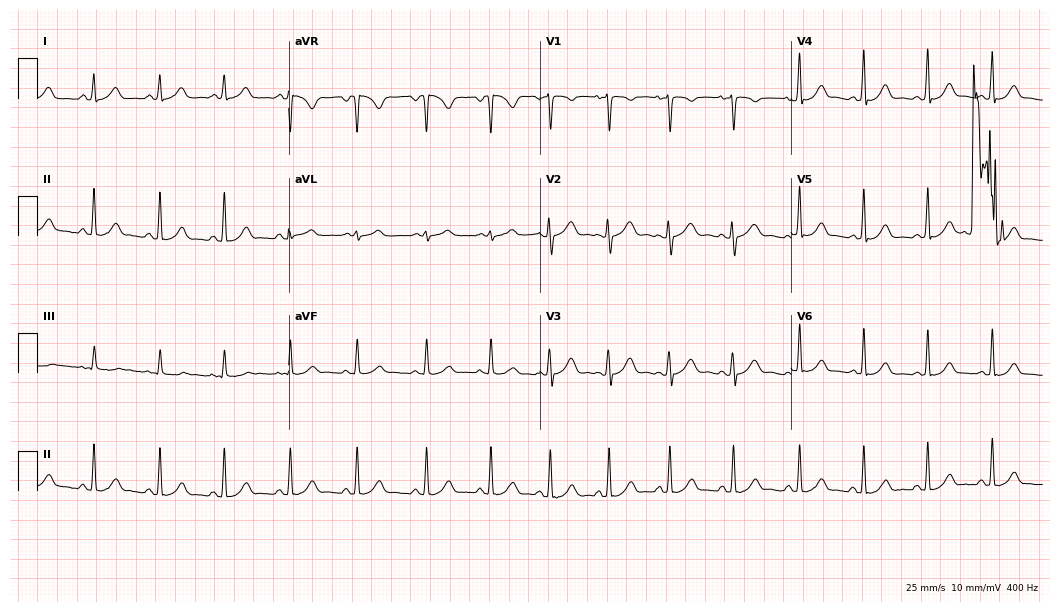
Standard 12-lead ECG recorded from a woman, 25 years old. None of these six findings is recorded: first-degree AV block, right bundle branch block, left bundle branch block, sinus bradycardia, atrial fibrillation, sinus tachycardia. Only these six findings were labelled.